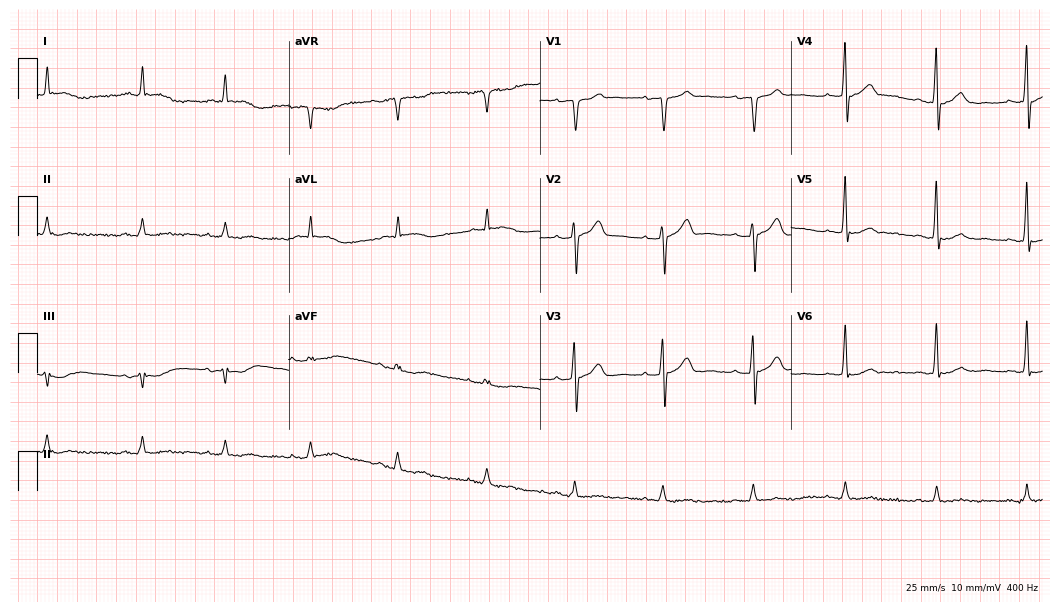
Standard 12-lead ECG recorded from a 54-year-old male patient. None of these six findings is recorded: first-degree AV block, right bundle branch block (RBBB), left bundle branch block (LBBB), sinus bradycardia, atrial fibrillation (AF), sinus tachycardia.